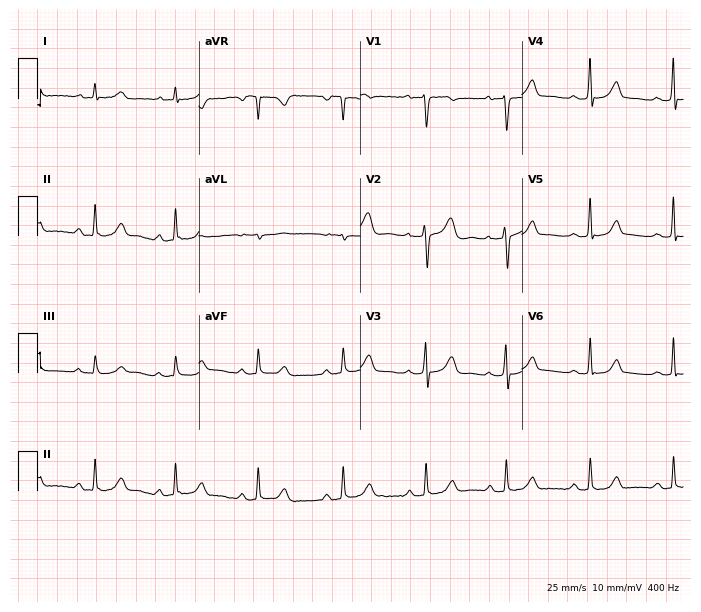
Electrocardiogram (6.6-second recording at 400 Hz), a woman, 26 years old. Overall reading on record: normal ECG.